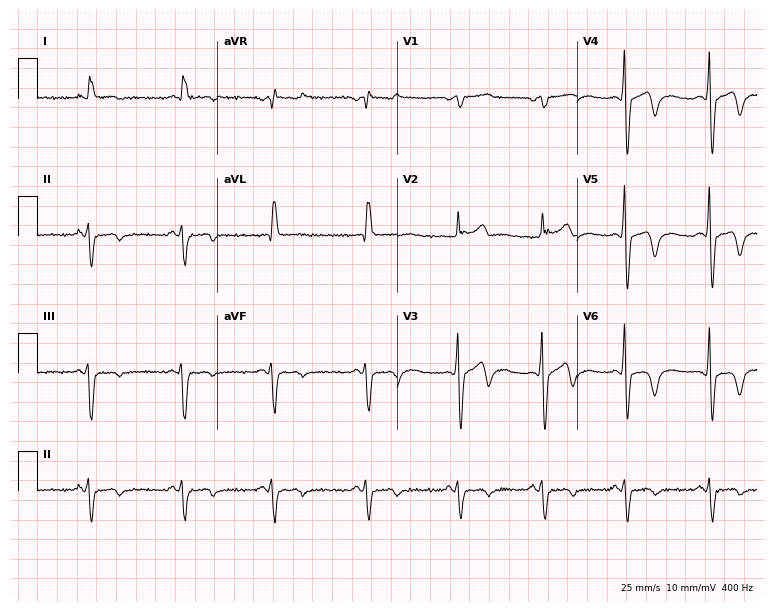
Resting 12-lead electrocardiogram (7.3-second recording at 400 Hz). Patient: a 77-year-old man. None of these six findings is recorded: first-degree AV block, right bundle branch block, left bundle branch block, sinus bradycardia, atrial fibrillation, sinus tachycardia. Findings outside these six are not listed.